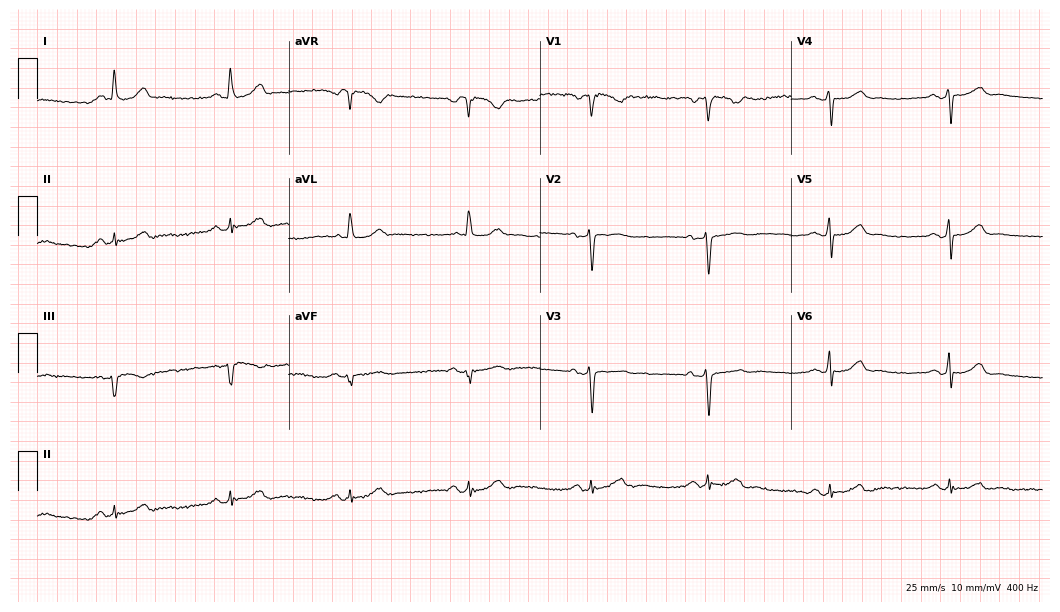
ECG — a 58-year-old female. Screened for six findings — first-degree AV block, right bundle branch block, left bundle branch block, sinus bradycardia, atrial fibrillation, sinus tachycardia — none is recorded. Findings outside these six are not listed.